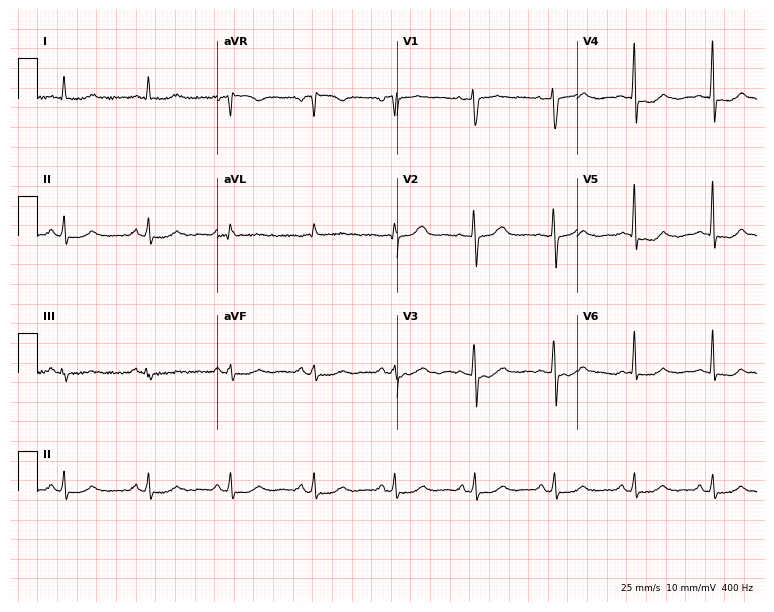
Standard 12-lead ECG recorded from a 74-year-old female patient (7.3-second recording at 400 Hz). Read as a normal ECG.